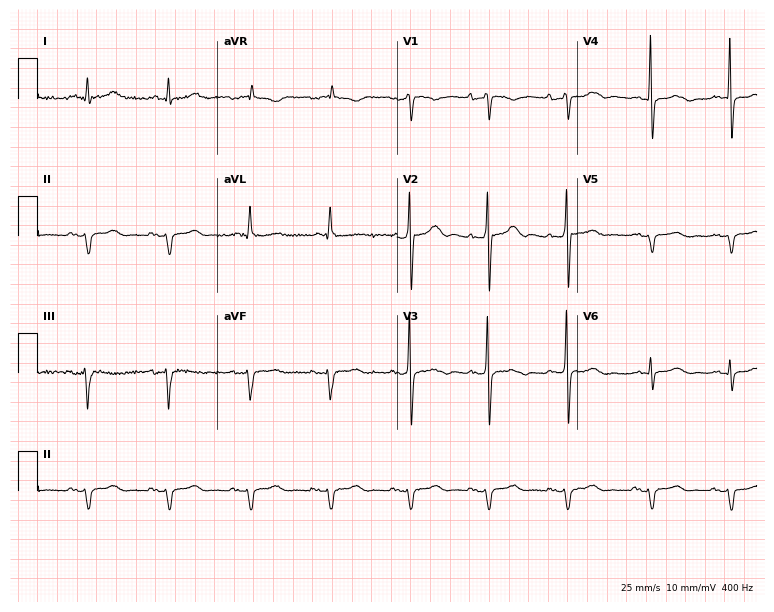
12-lead ECG (7.3-second recording at 400 Hz) from a 74-year-old man. Screened for six findings — first-degree AV block, right bundle branch block (RBBB), left bundle branch block (LBBB), sinus bradycardia, atrial fibrillation (AF), sinus tachycardia — none is recorded. Other findings, if any, are not listed.